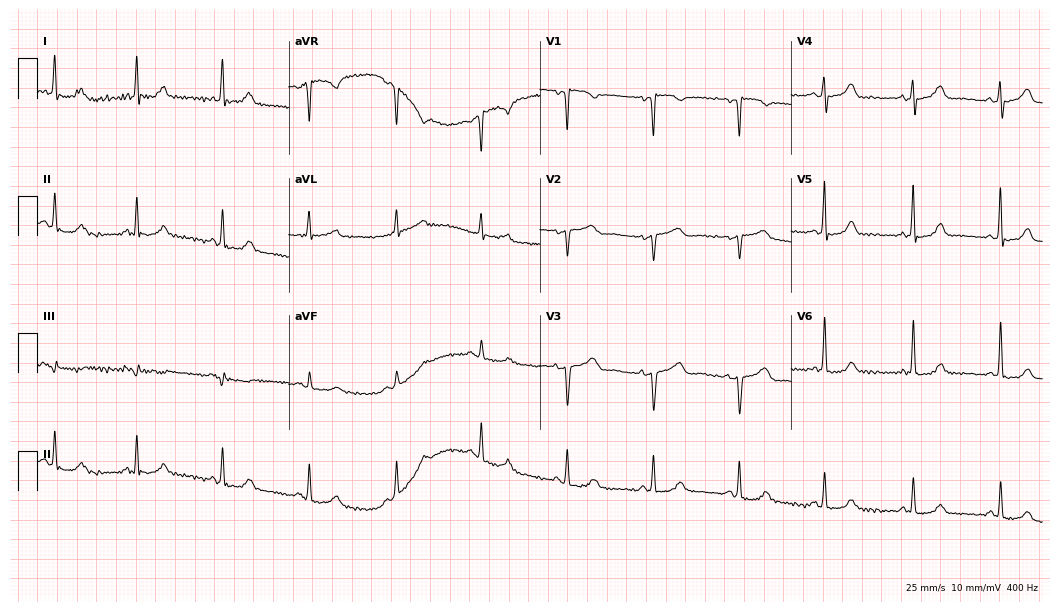
Standard 12-lead ECG recorded from a 46-year-old woman (10.2-second recording at 400 Hz). Read as a normal ECG.